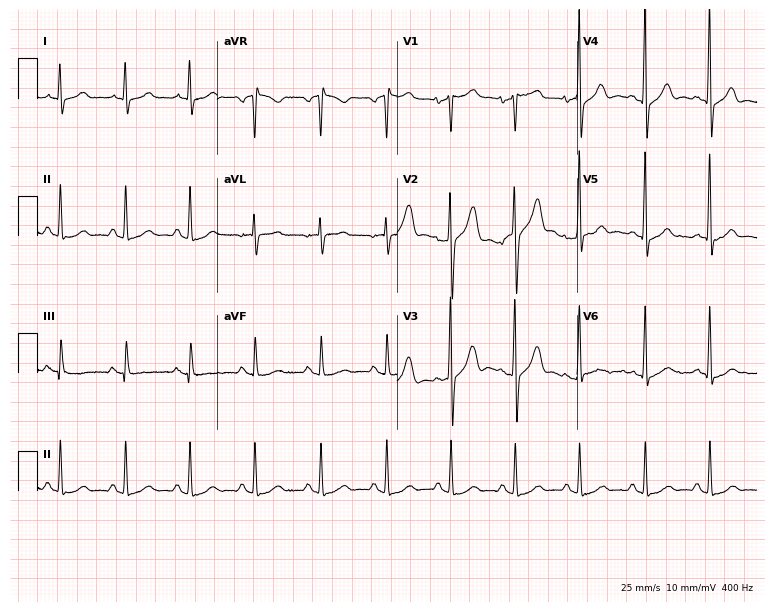
Standard 12-lead ECG recorded from a man, 56 years old (7.3-second recording at 400 Hz). Read as a normal ECG.